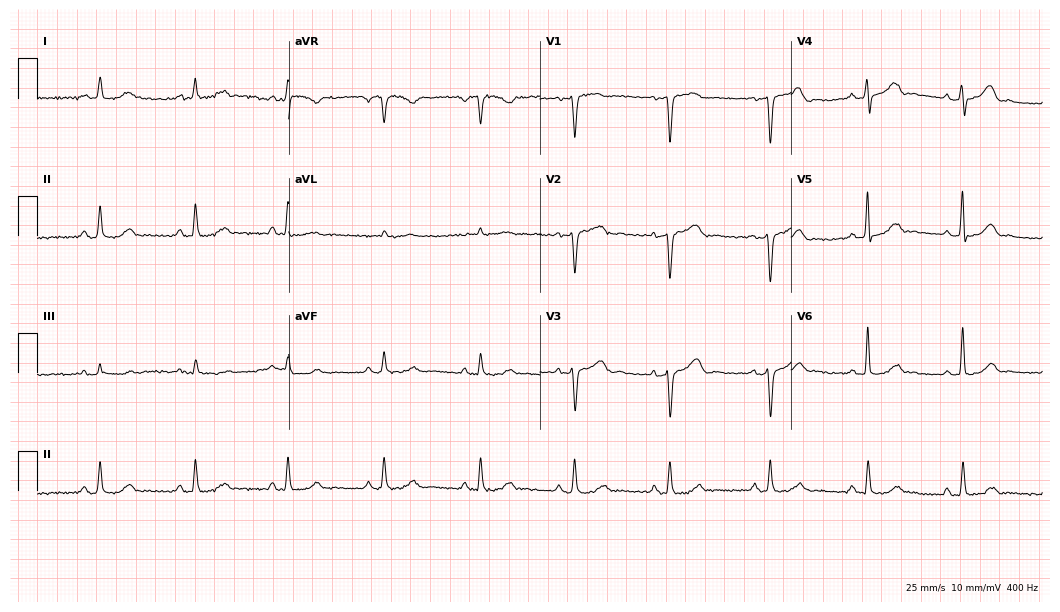
Electrocardiogram, a female patient, 50 years old. Overall reading on record: normal ECG.